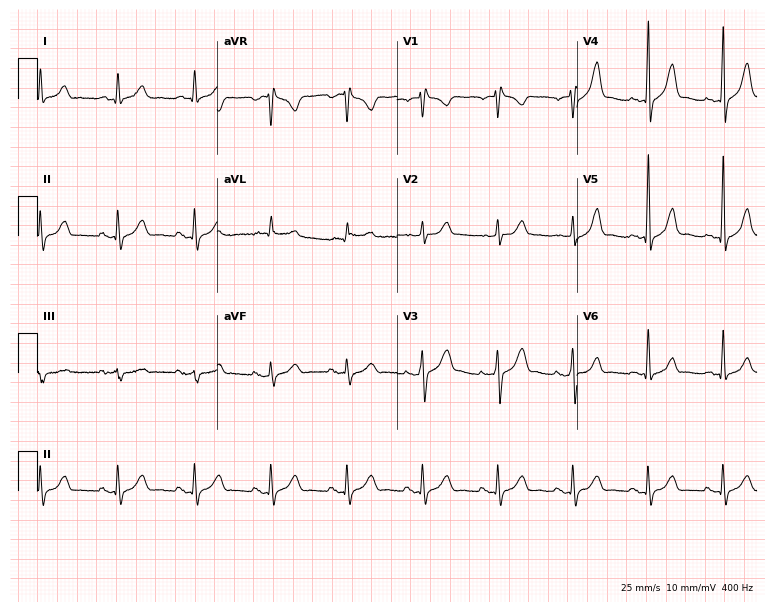
Resting 12-lead electrocardiogram. Patient: a 49-year-old male. None of these six findings is recorded: first-degree AV block, right bundle branch block, left bundle branch block, sinus bradycardia, atrial fibrillation, sinus tachycardia. Only these six findings were labelled.